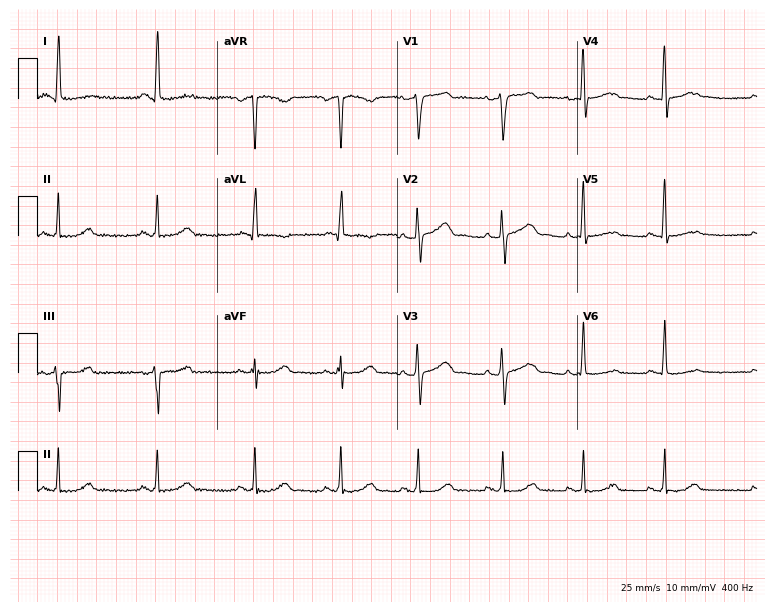
Resting 12-lead electrocardiogram. Patient: a woman, 48 years old. Read as a normal ECG.